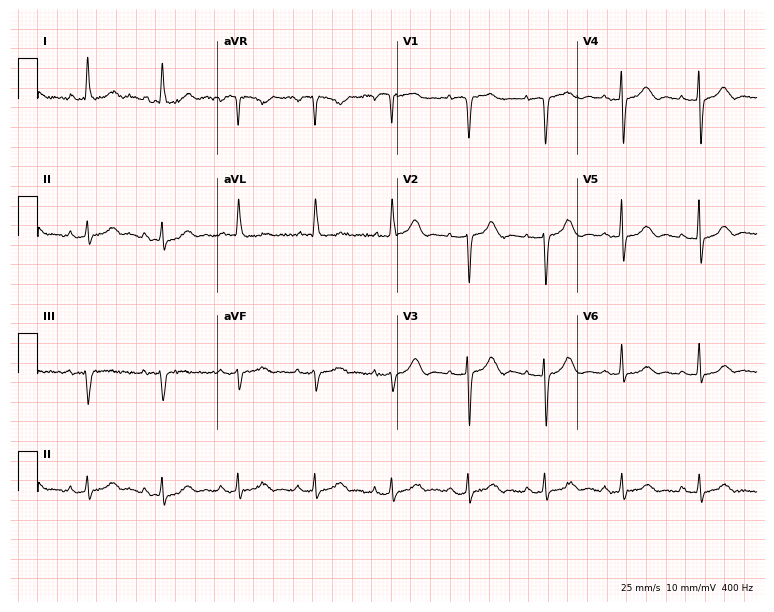
Standard 12-lead ECG recorded from a woman, 85 years old. Read as a normal ECG.